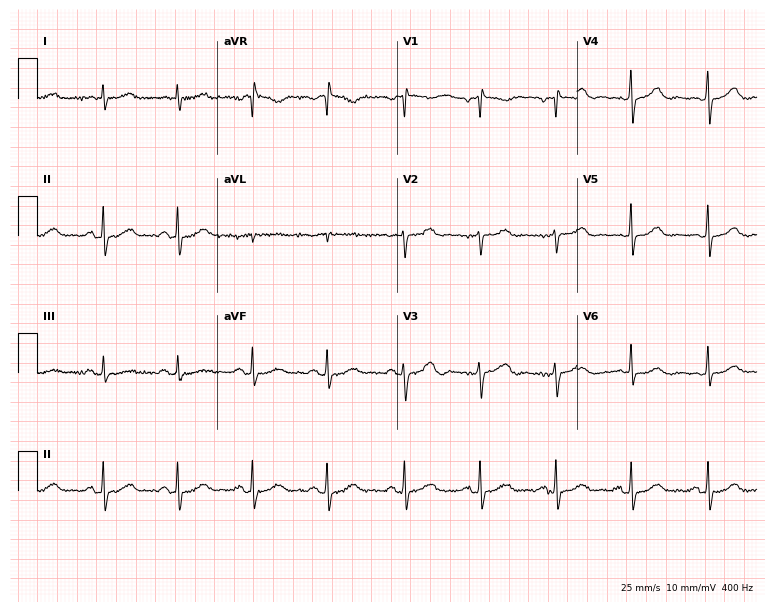
12-lead ECG from a 60-year-old male. Labelled as a normal ECG.